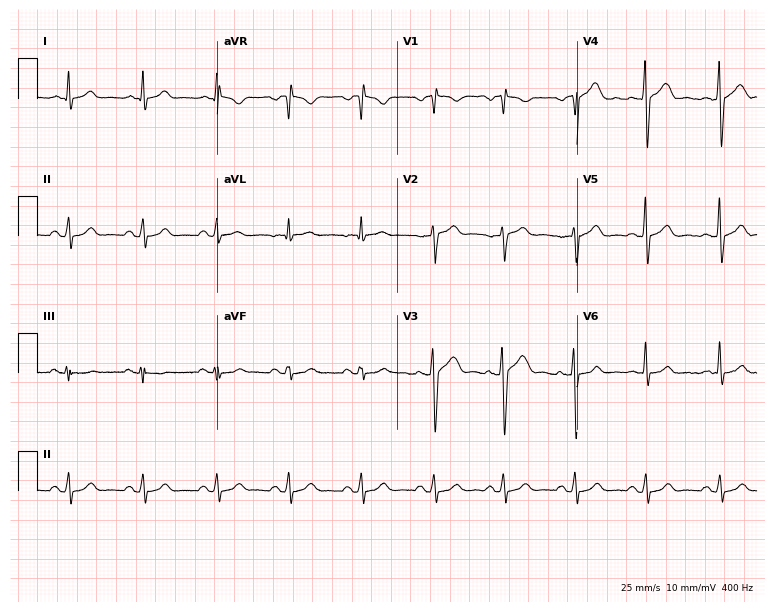
Electrocardiogram, a 44-year-old male patient. Overall reading on record: normal ECG.